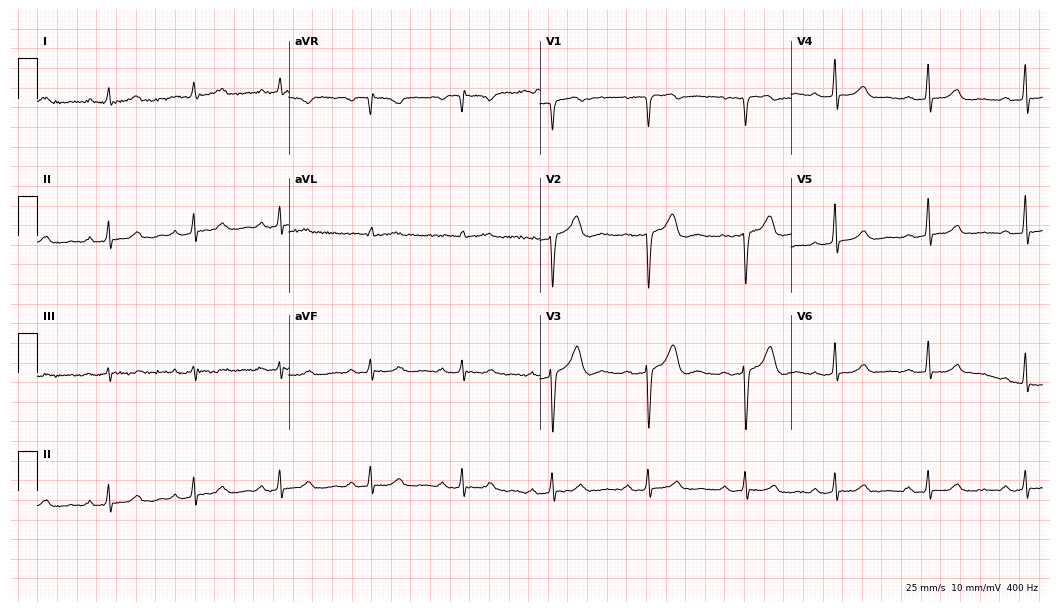
12-lead ECG from a 38-year-old woman. Labelled as a normal ECG.